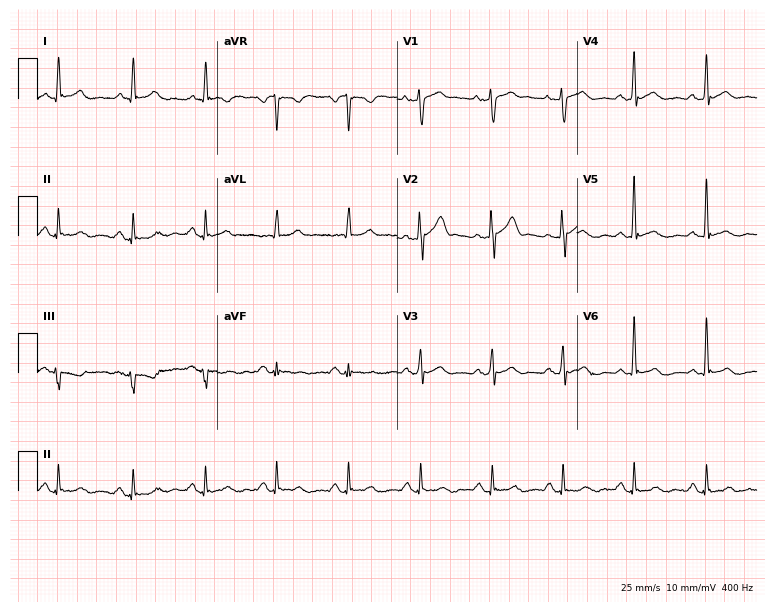
Standard 12-lead ECG recorded from a 57-year-old man. Read as a normal ECG.